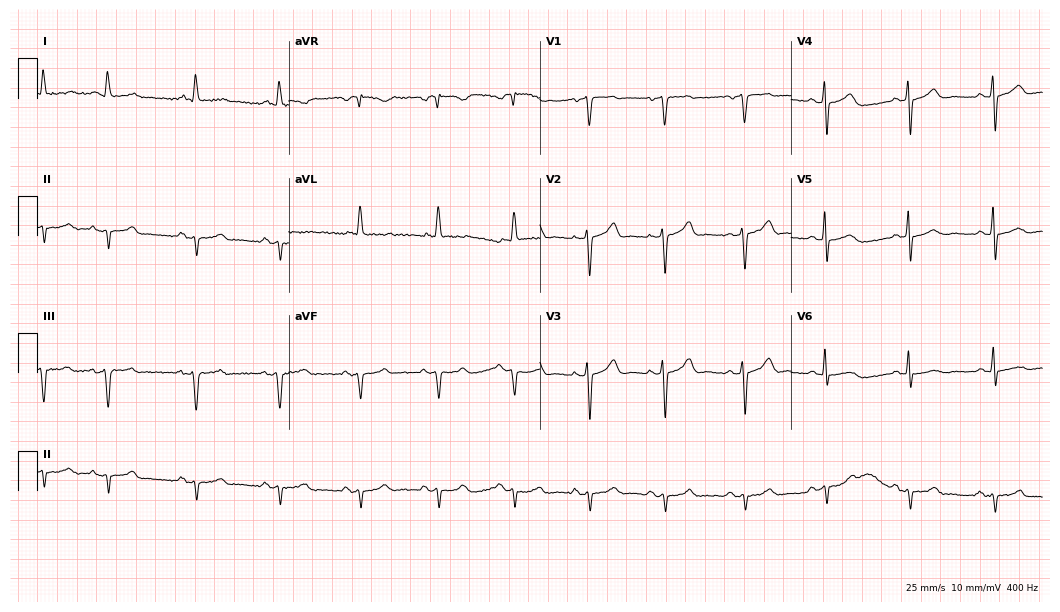
Electrocardiogram (10.2-second recording at 400 Hz), a female, 76 years old. Of the six screened findings (first-degree AV block, right bundle branch block (RBBB), left bundle branch block (LBBB), sinus bradycardia, atrial fibrillation (AF), sinus tachycardia), none is recorded.